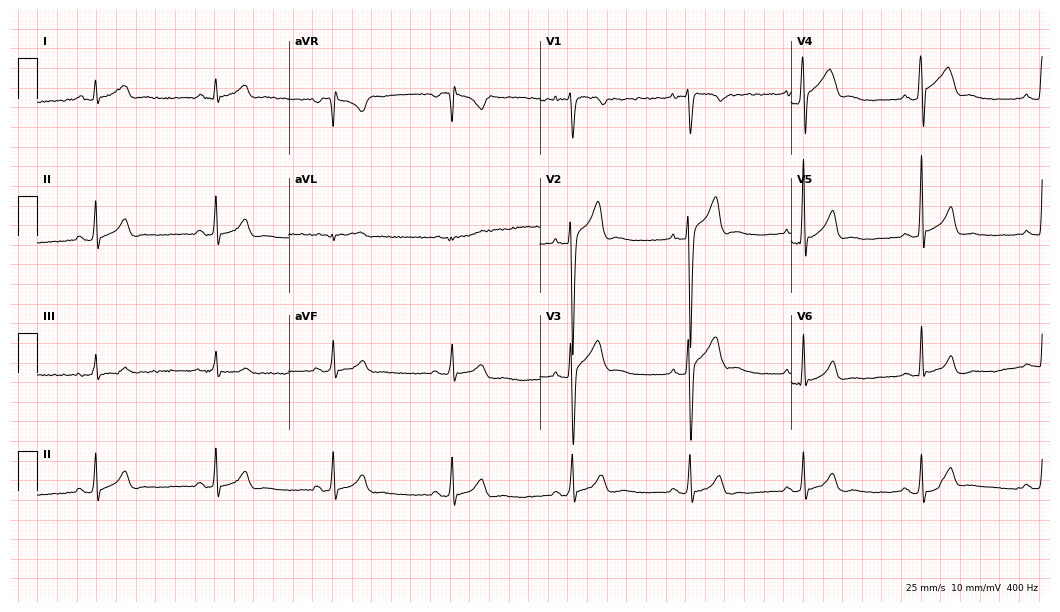
12-lead ECG (10.2-second recording at 400 Hz) from a male, 29 years old. Findings include sinus bradycardia (a sinus rate of 50 beats per minute or less).